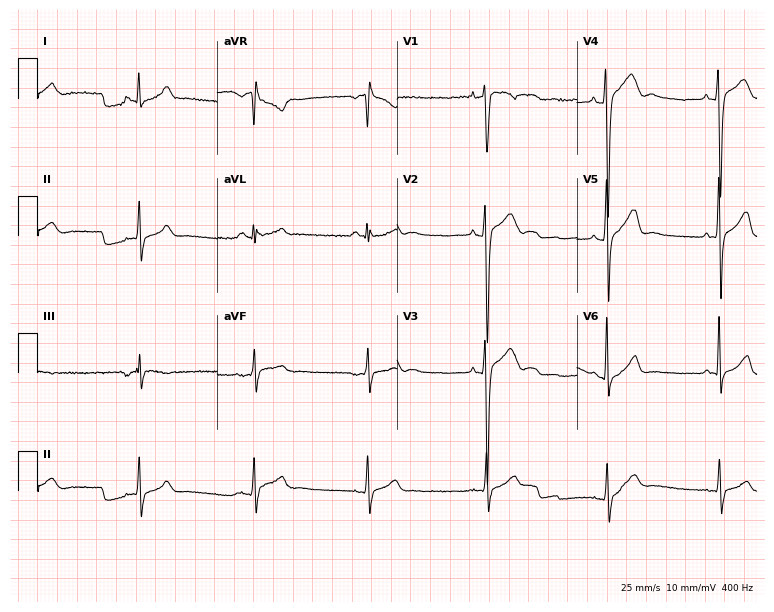
12-lead ECG from a male, 30 years old. Screened for six findings — first-degree AV block, right bundle branch block, left bundle branch block, sinus bradycardia, atrial fibrillation, sinus tachycardia — none is recorded.